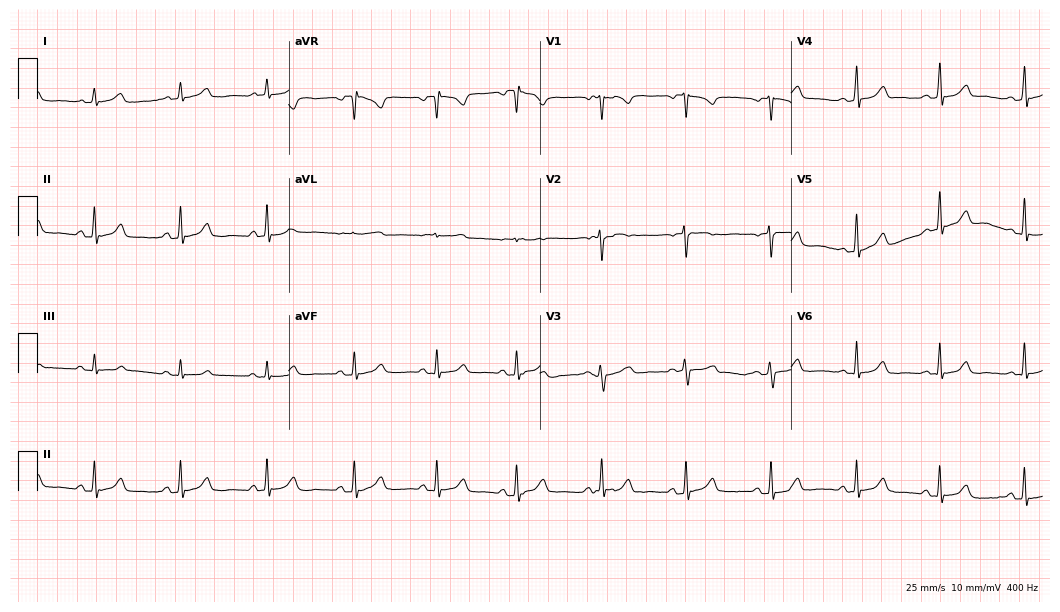
ECG — a woman, 54 years old. Labelled as a normal ECG.